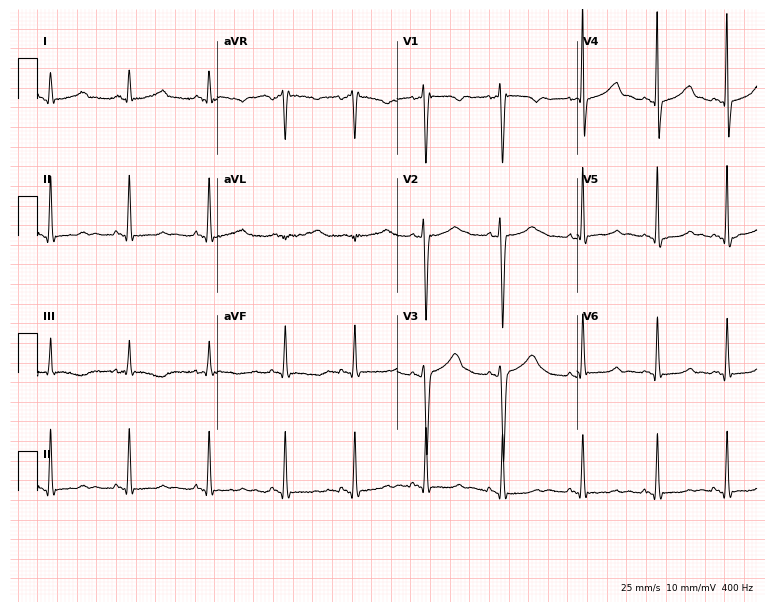
Resting 12-lead electrocardiogram (7.3-second recording at 400 Hz). Patient: a male, 35 years old. Read as a normal ECG.